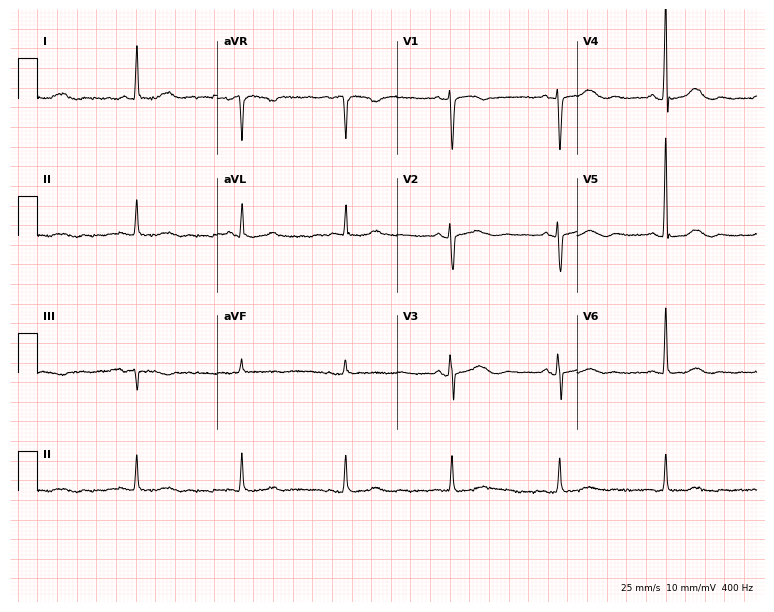
12-lead ECG from a 61-year-old female patient (7.3-second recording at 400 Hz). No first-degree AV block, right bundle branch block (RBBB), left bundle branch block (LBBB), sinus bradycardia, atrial fibrillation (AF) or sinus tachycardia recorded for this tracing. Findings outside these six are not listed.